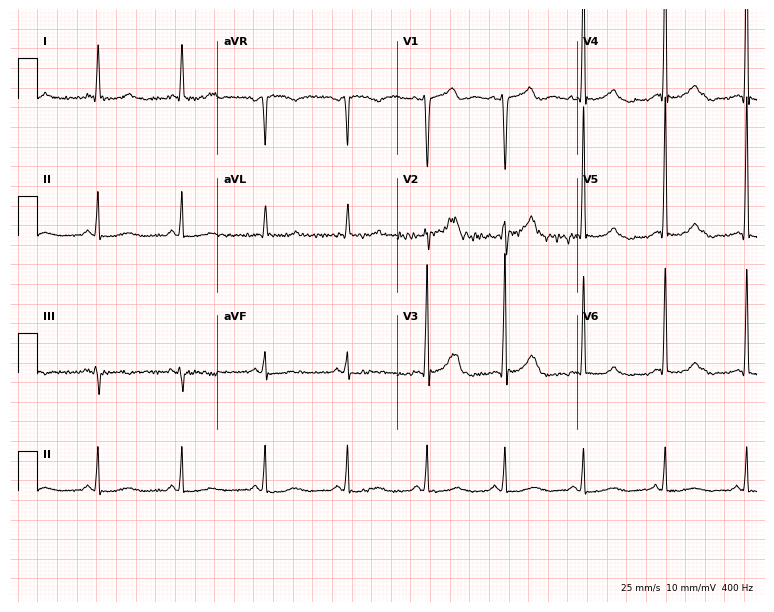
ECG — an 83-year-old male patient. Screened for six findings — first-degree AV block, right bundle branch block (RBBB), left bundle branch block (LBBB), sinus bradycardia, atrial fibrillation (AF), sinus tachycardia — none is recorded. Only these six findings were labelled.